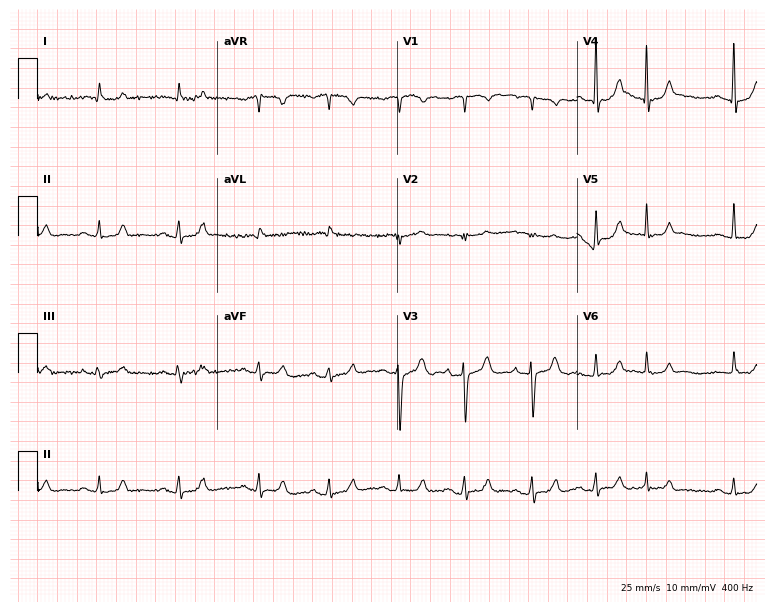
12-lead ECG from a male, 85 years old. Recorded interpretation: within normal limits.